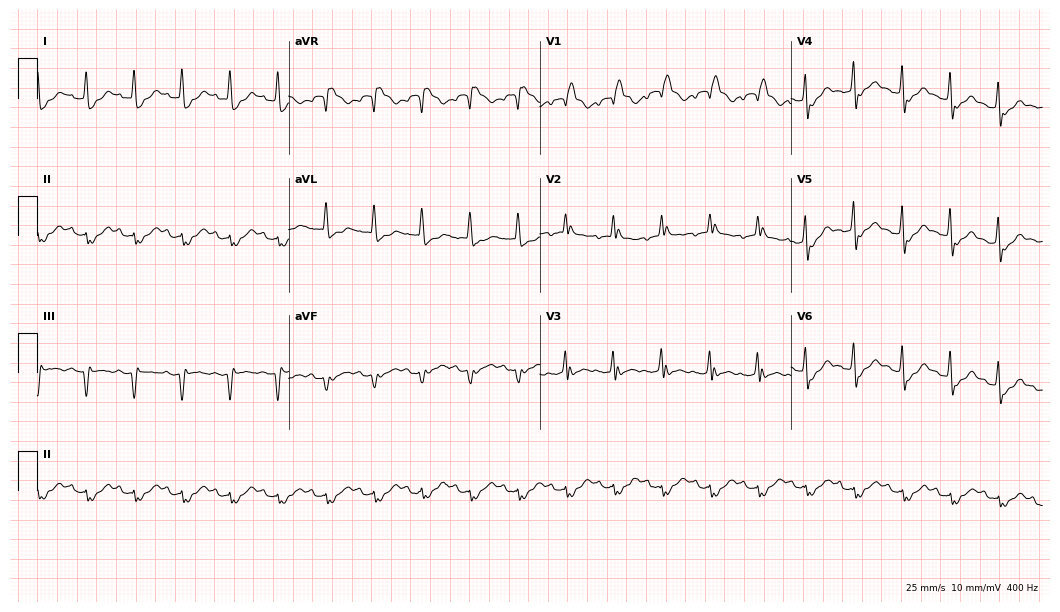
ECG (10.2-second recording at 400 Hz) — a 69-year-old female. Findings include right bundle branch block (RBBB), sinus tachycardia (a sinus rate of 100 beats per minute or more).